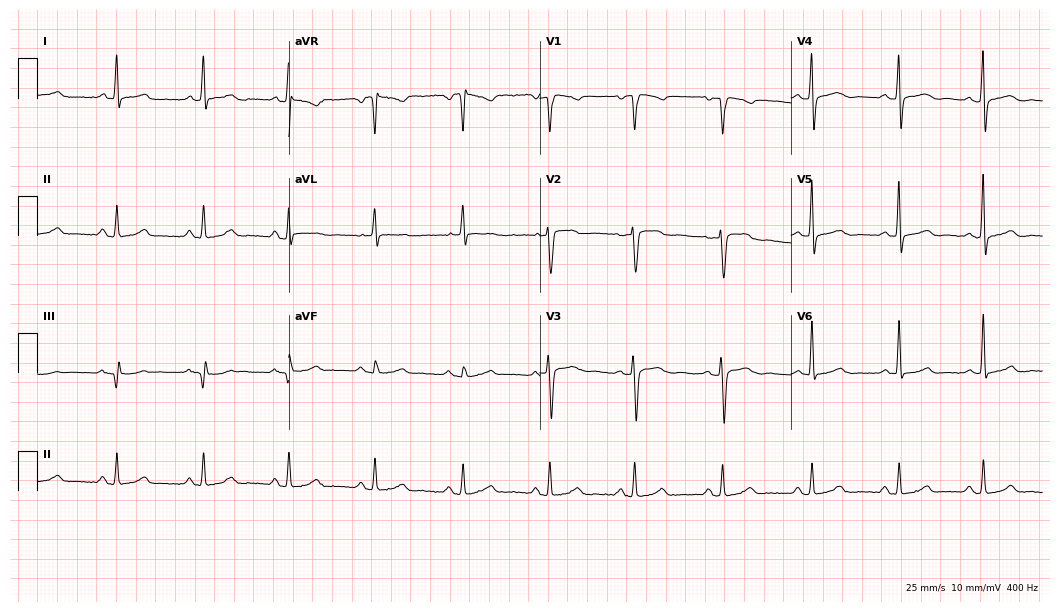
ECG (10.2-second recording at 400 Hz) — a woman, 58 years old. Screened for six findings — first-degree AV block, right bundle branch block, left bundle branch block, sinus bradycardia, atrial fibrillation, sinus tachycardia — none is recorded. Findings outside these six are not listed.